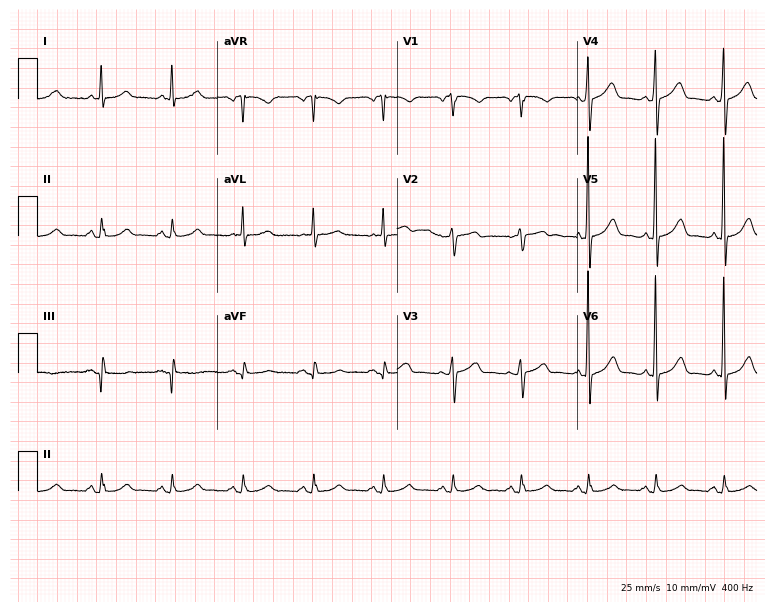
Resting 12-lead electrocardiogram (7.3-second recording at 400 Hz). Patient: a male, 63 years old. None of these six findings is recorded: first-degree AV block, right bundle branch block, left bundle branch block, sinus bradycardia, atrial fibrillation, sinus tachycardia.